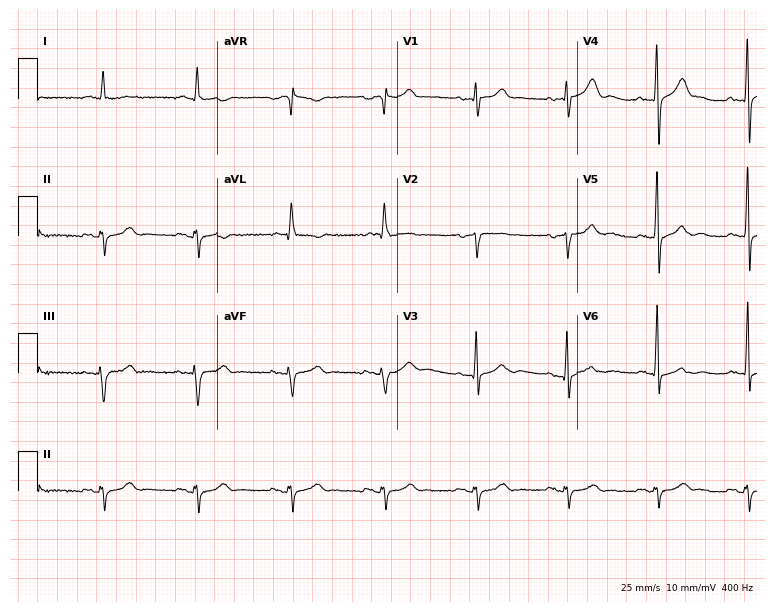
Standard 12-lead ECG recorded from a male patient, 74 years old (7.3-second recording at 400 Hz). Read as a normal ECG.